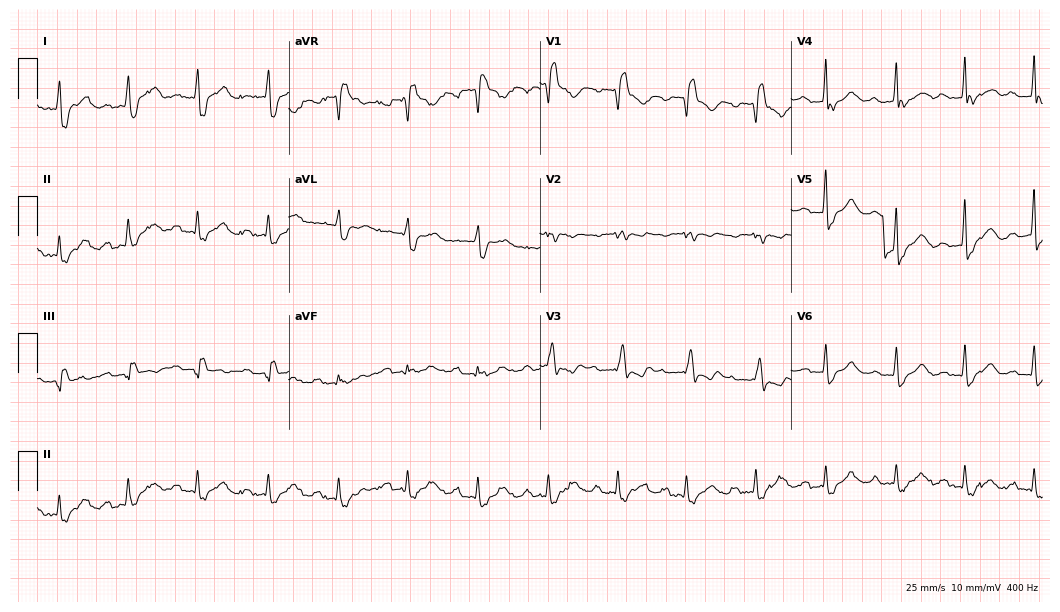
Electrocardiogram (10.2-second recording at 400 Hz), a female, 66 years old. Of the six screened findings (first-degree AV block, right bundle branch block, left bundle branch block, sinus bradycardia, atrial fibrillation, sinus tachycardia), none is recorded. Findings outside these six are not listed.